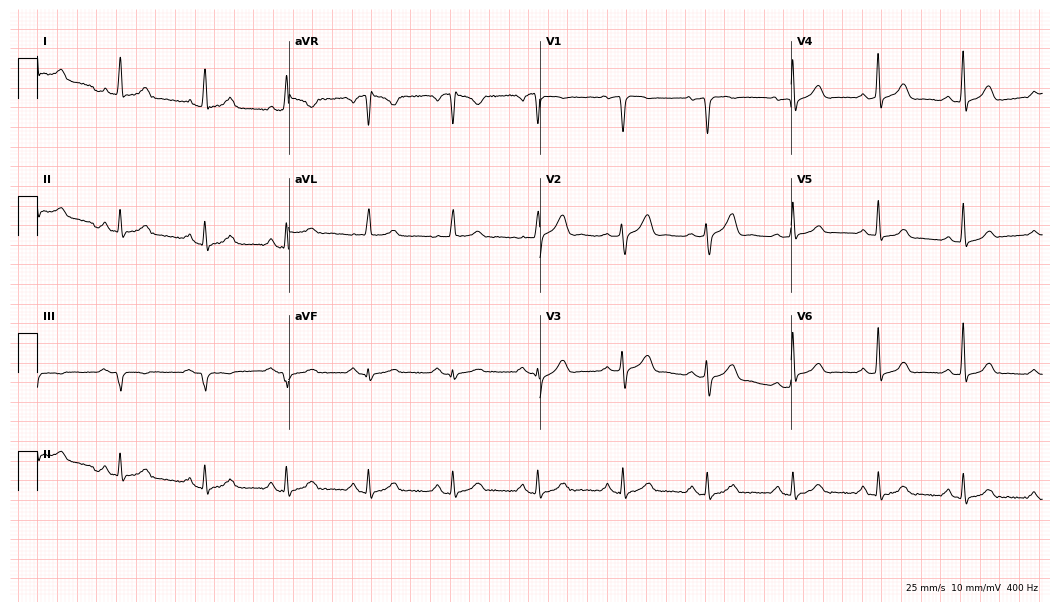
Standard 12-lead ECG recorded from a 67-year-old male patient. Read as a normal ECG.